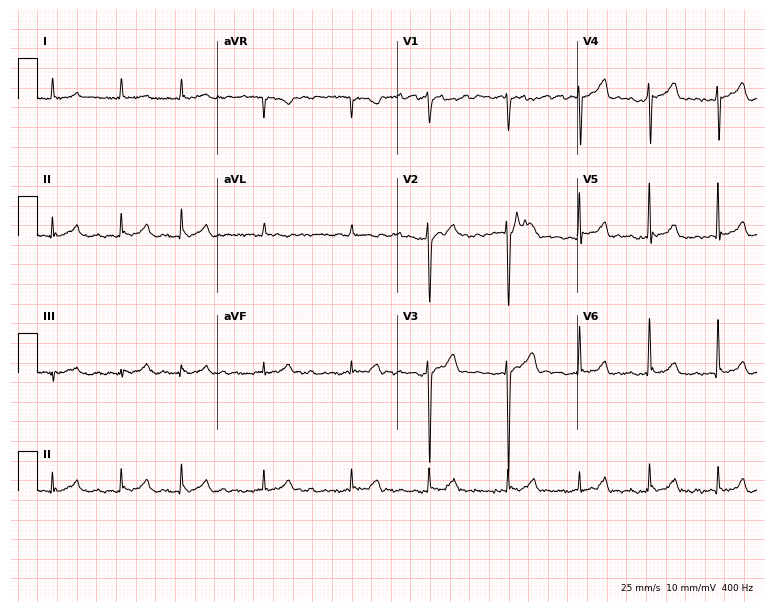
Resting 12-lead electrocardiogram (7.3-second recording at 400 Hz). Patient: a 74-year-old female. The tracing shows atrial fibrillation.